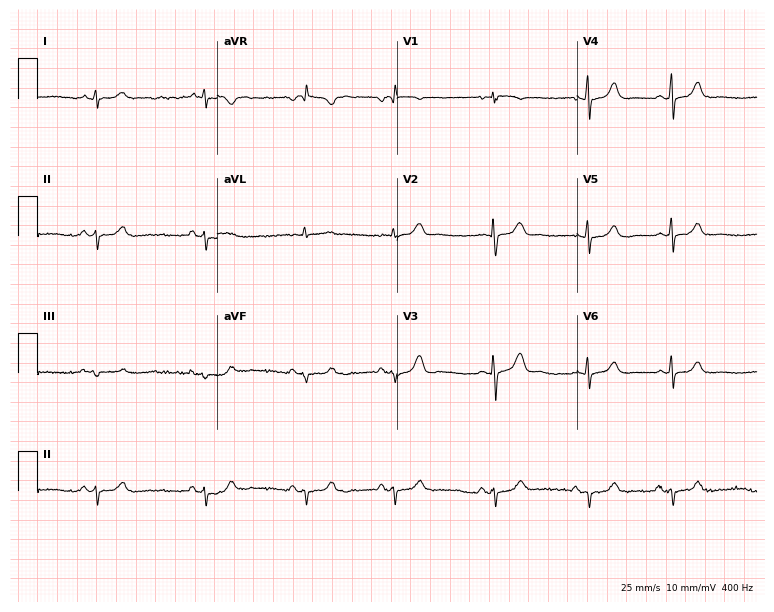
Resting 12-lead electrocardiogram. Patient: an 18-year-old female. None of these six findings is recorded: first-degree AV block, right bundle branch block, left bundle branch block, sinus bradycardia, atrial fibrillation, sinus tachycardia.